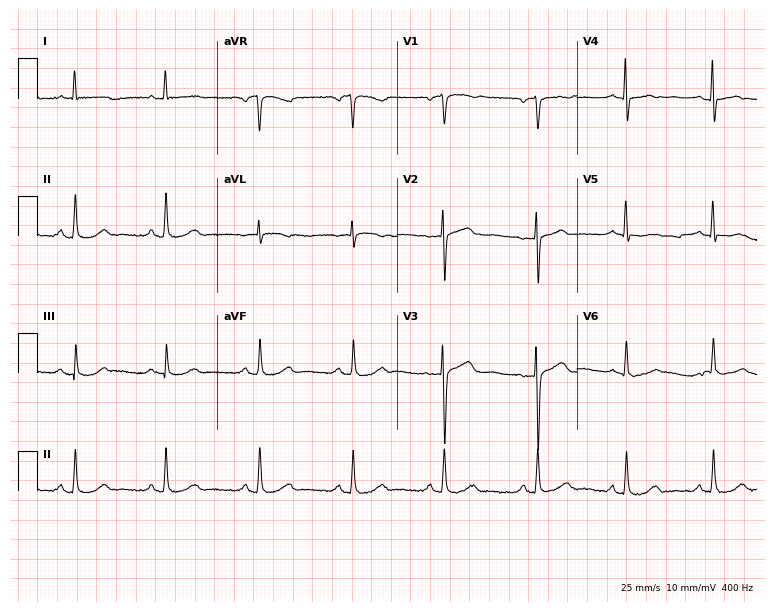
Electrocardiogram, a 65-year-old female. Overall reading on record: normal ECG.